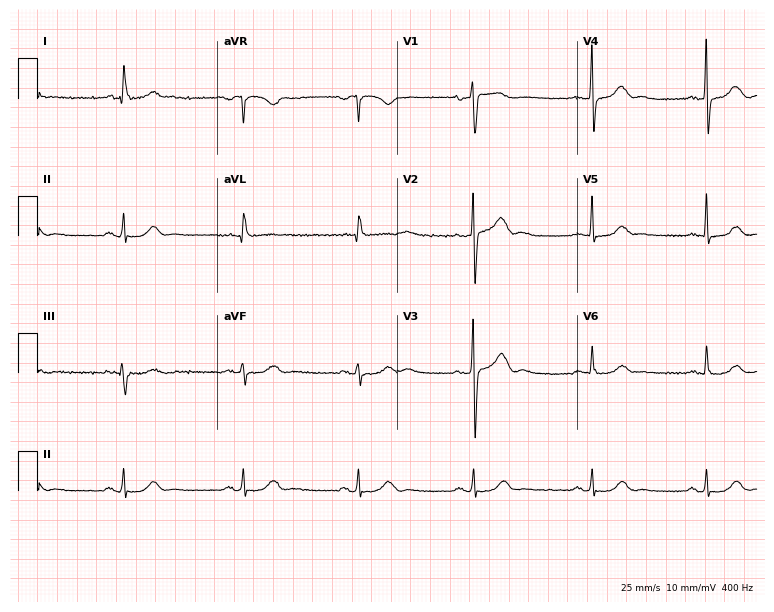
12-lead ECG from a male patient, 63 years old. Recorded interpretation: within normal limits.